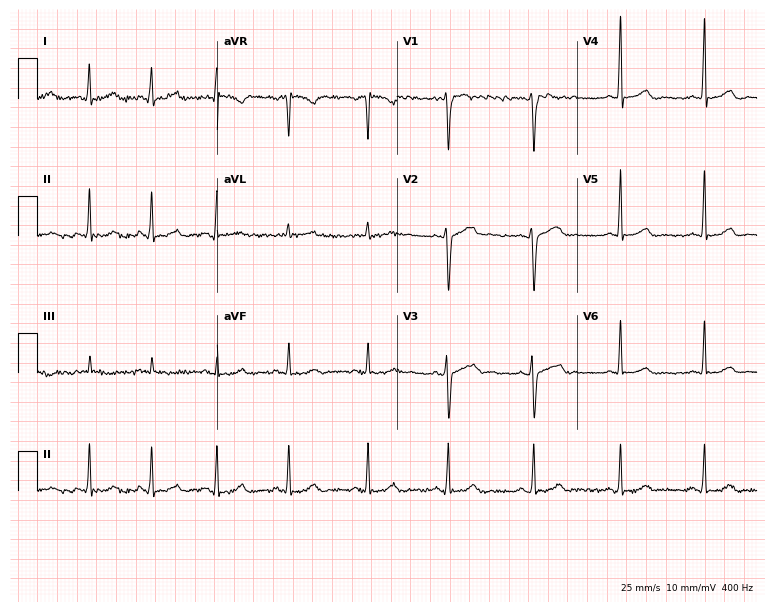
Resting 12-lead electrocardiogram (7.3-second recording at 400 Hz). Patient: a 33-year-old female. Read as a normal ECG.